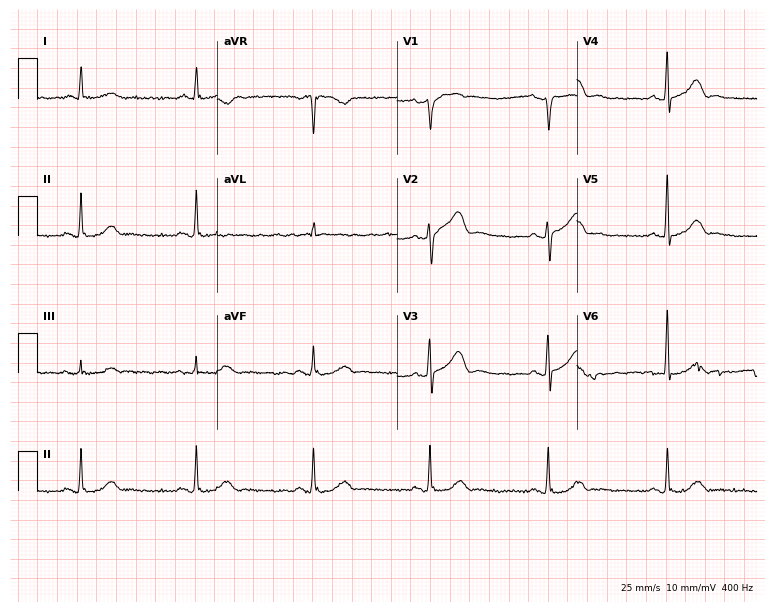
Standard 12-lead ECG recorded from a 72-year-old man (7.3-second recording at 400 Hz). The tracing shows sinus bradycardia (a sinus rate of 50 beats per minute or less).